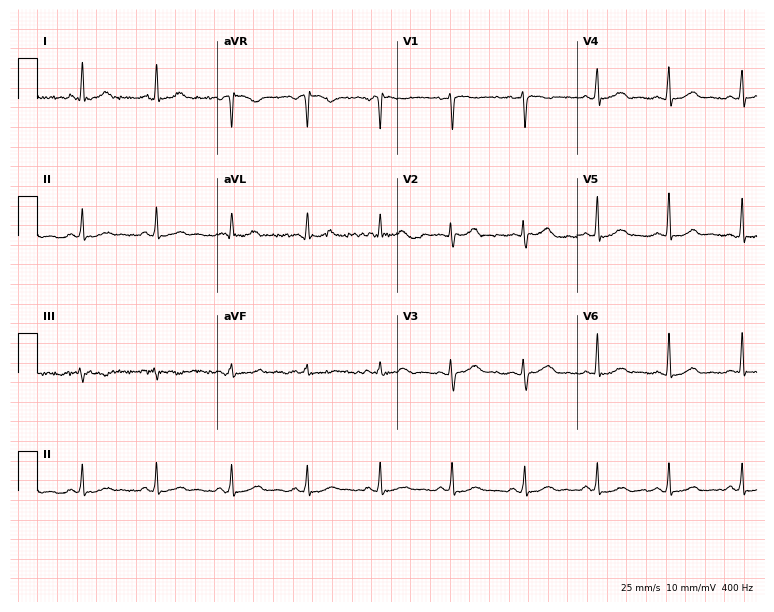
ECG — a female, 42 years old. Screened for six findings — first-degree AV block, right bundle branch block (RBBB), left bundle branch block (LBBB), sinus bradycardia, atrial fibrillation (AF), sinus tachycardia — none is recorded. Only these six findings were labelled.